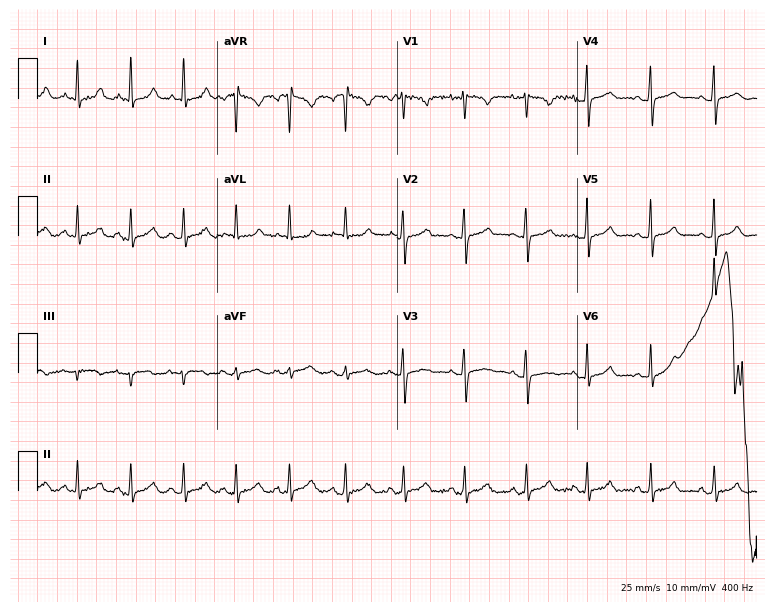
Electrocardiogram (7.3-second recording at 400 Hz), a 23-year-old female. Interpretation includes sinus tachycardia (a sinus rate of 100 beats per minute or more).